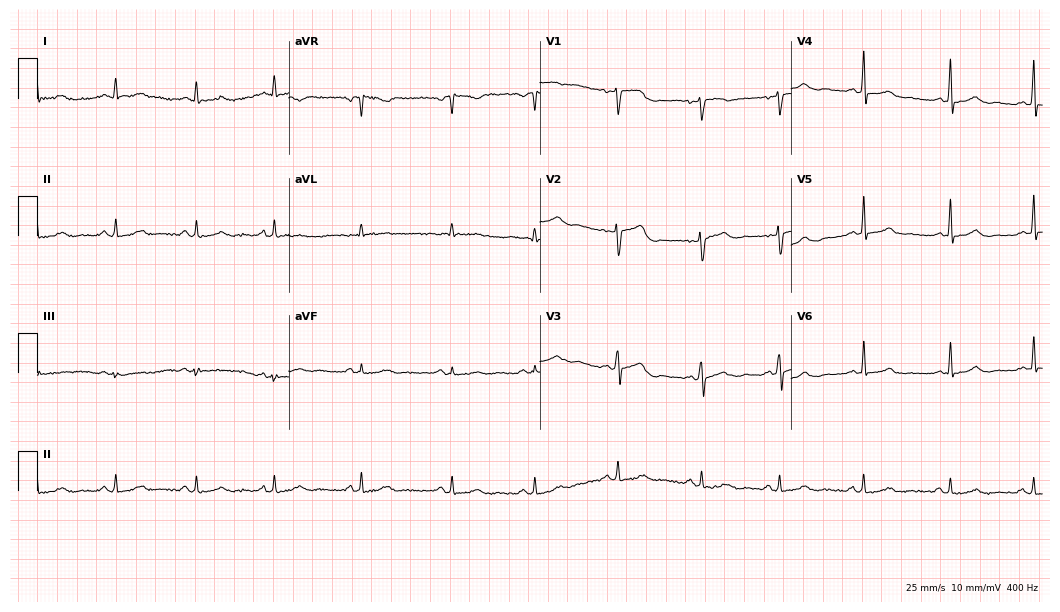
Standard 12-lead ECG recorded from a 34-year-old woman. None of these six findings is recorded: first-degree AV block, right bundle branch block (RBBB), left bundle branch block (LBBB), sinus bradycardia, atrial fibrillation (AF), sinus tachycardia. Other findings, if any, are not listed.